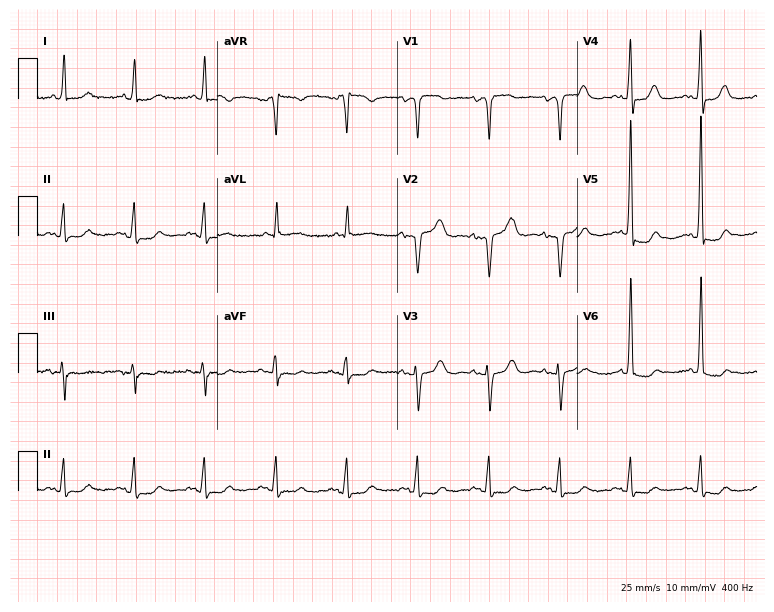
12-lead ECG (7.3-second recording at 400 Hz) from an 85-year-old female patient. Screened for six findings — first-degree AV block, right bundle branch block, left bundle branch block, sinus bradycardia, atrial fibrillation, sinus tachycardia — none is recorded.